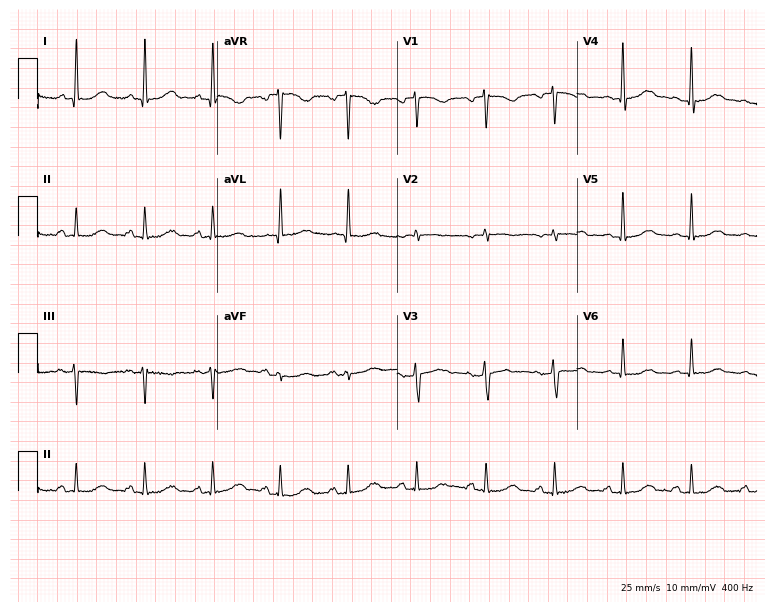
Standard 12-lead ECG recorded from a 58-year-old female patient (7.3-second recording at 400 Hz). Read as a normal ECG.